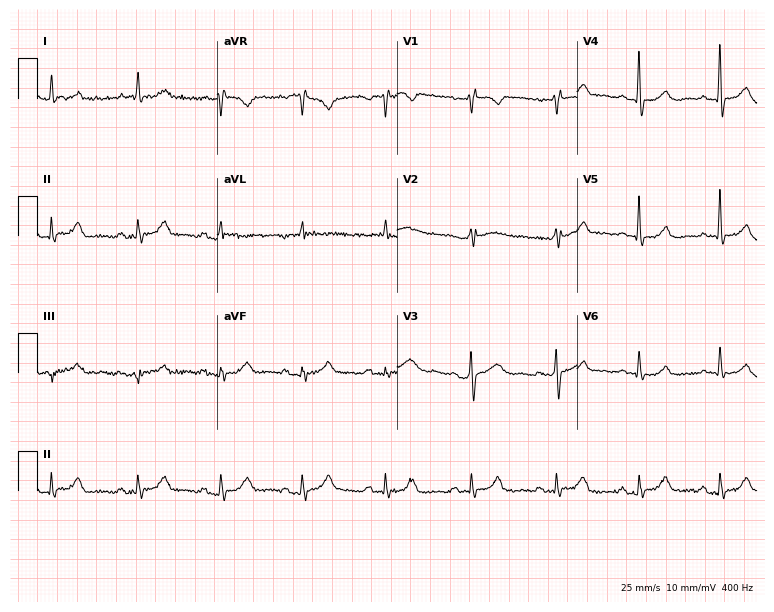
ECG (7.3-second recording at 400 Hz) — a woman, 65 years old. Screened for six findings — first-degree AV block, right bundle branch block (RBBB), left bundle branch block (LBBB), sinus bradycardia, atrial fibrillation (AF), sinus tachycardia — none is recorded. Only these six findings were labelled.